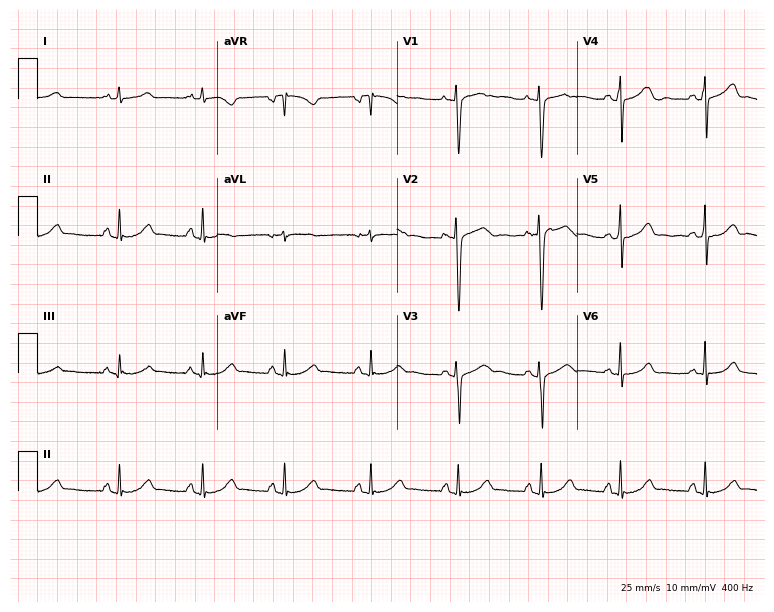
12-lead ECG from a female patient, 21 years old. Recorded interpretation: within normal limits.